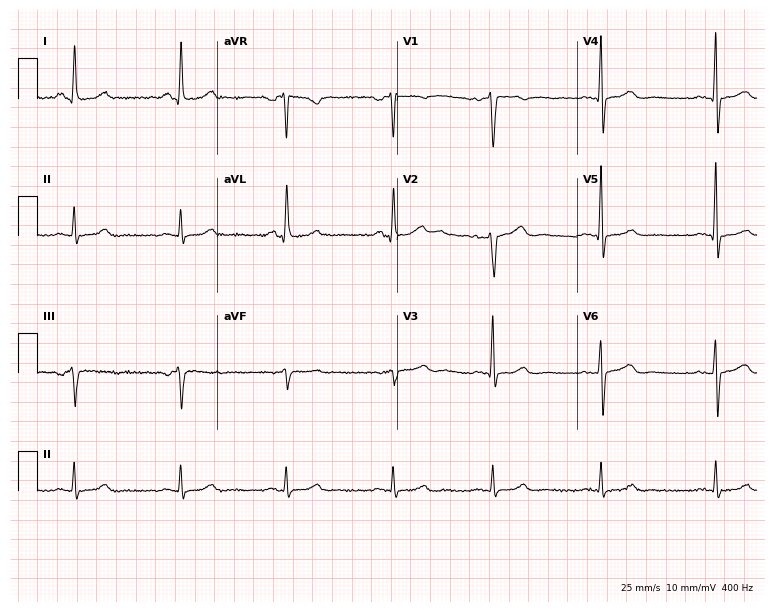
ECG — a female patient, 48 years old. Labelled as a normal ECG.